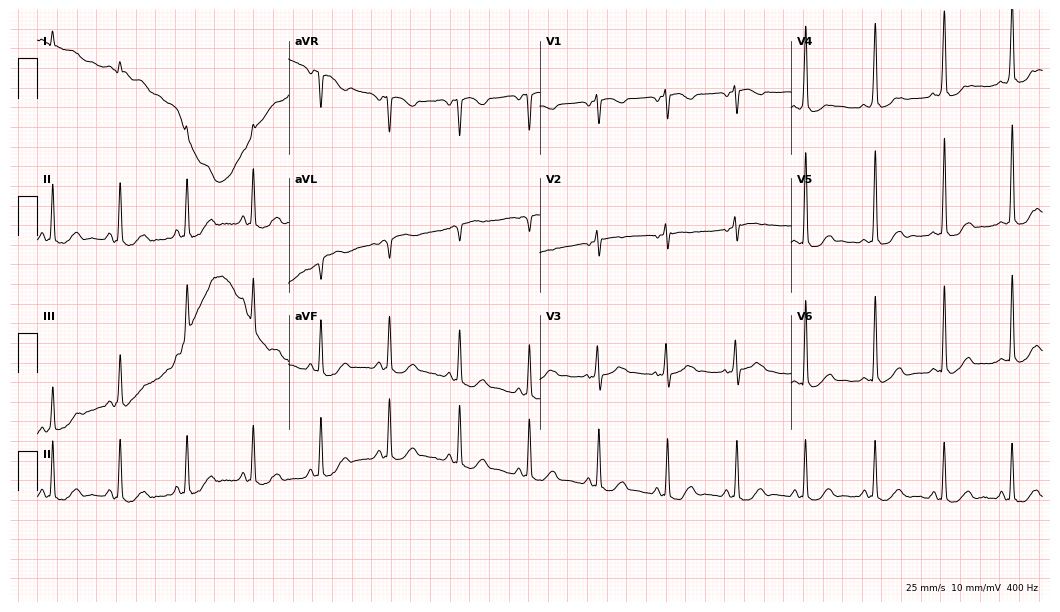
ECG — a woman, 51 years old. Labelled as a normal ECG.